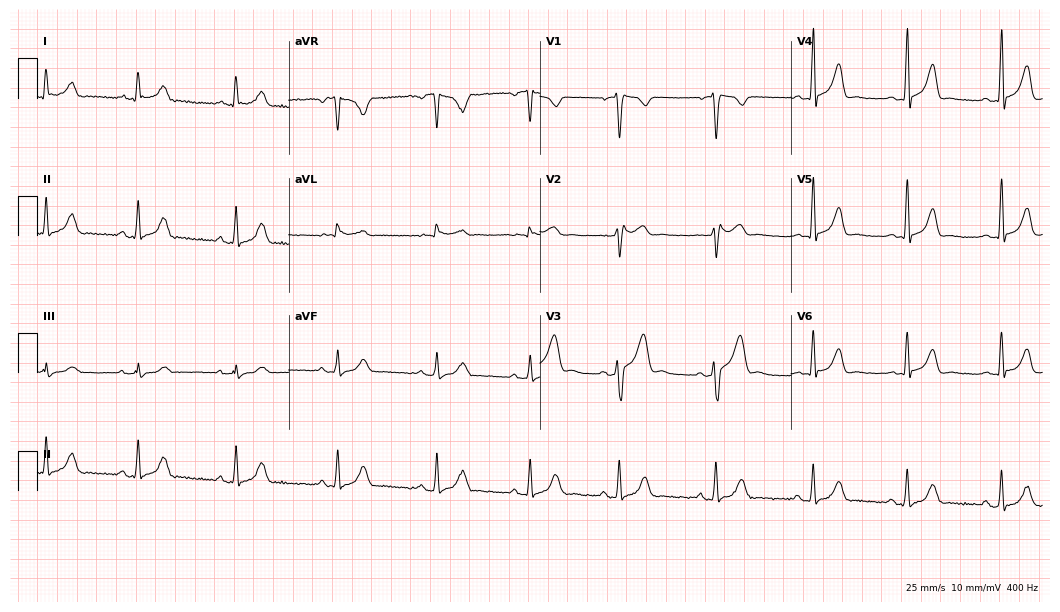
Electrocardiogram, a 40-year-old male. Overall reading on record: normal ECG.